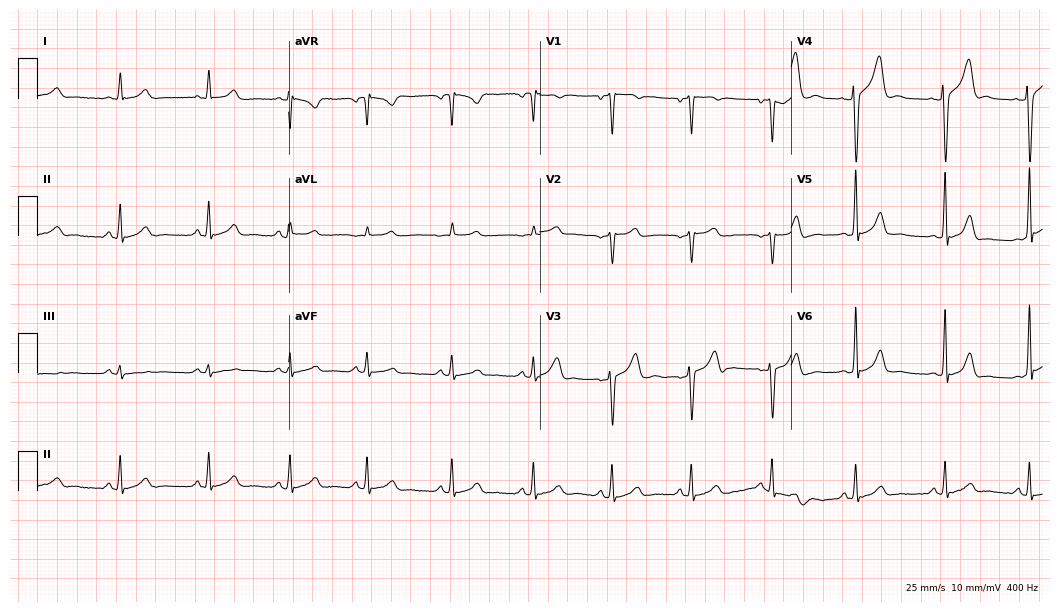
Standard 12-lead ECG recorded from a 28-year-old man (10.2-second recording at 400 Hz). Read as a normal ECG.